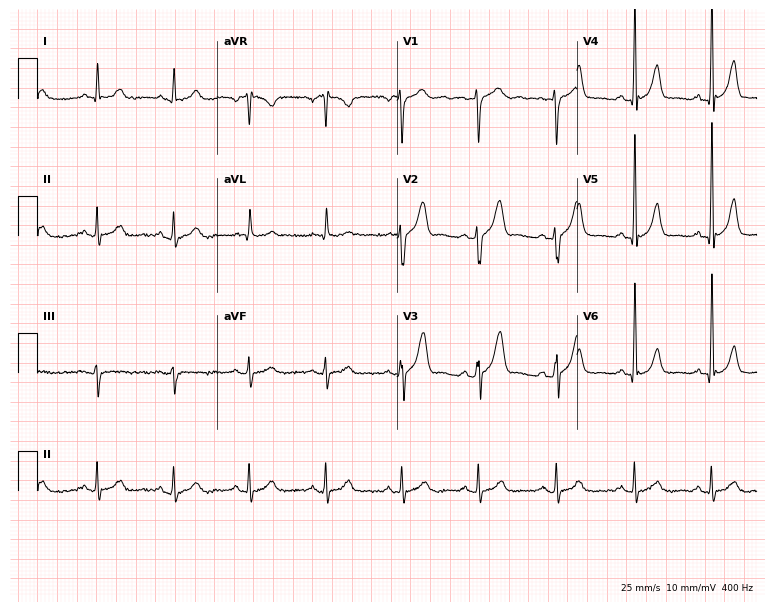
ECG — a 42-year-old male. Labelled as a normal ECG.